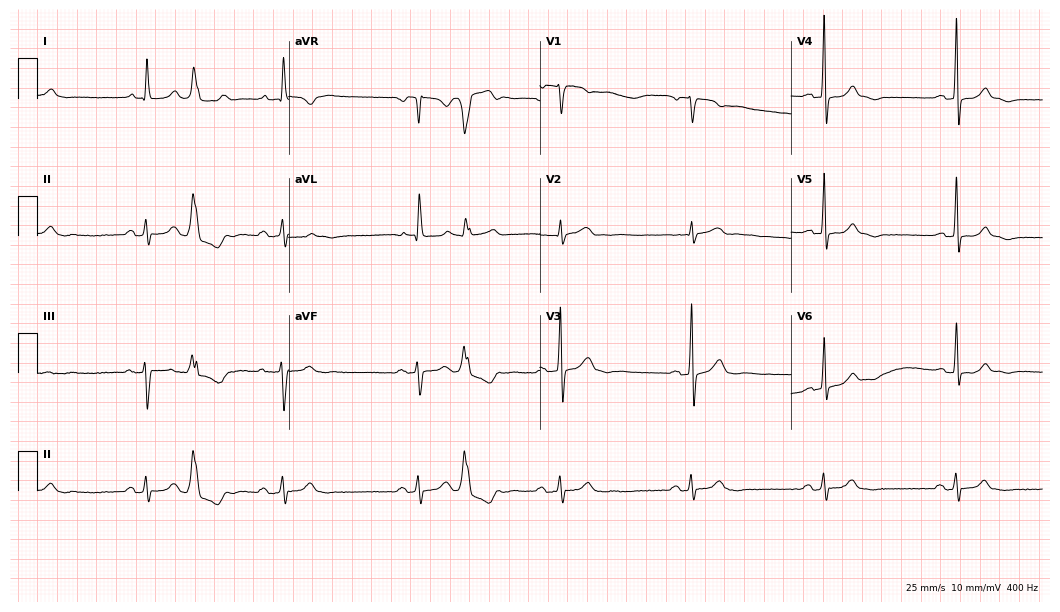
Standard 12-lead ECG recorded from a 54-year-old female (10.2-second recording at 400 Hz). None of these six findings is recorded: first-degree AV block, right bundle branch block (RBBB), left bundle branch block (LBBB), sinus bradycardia, atrial fibrillation (AF), sinus tachycardia.